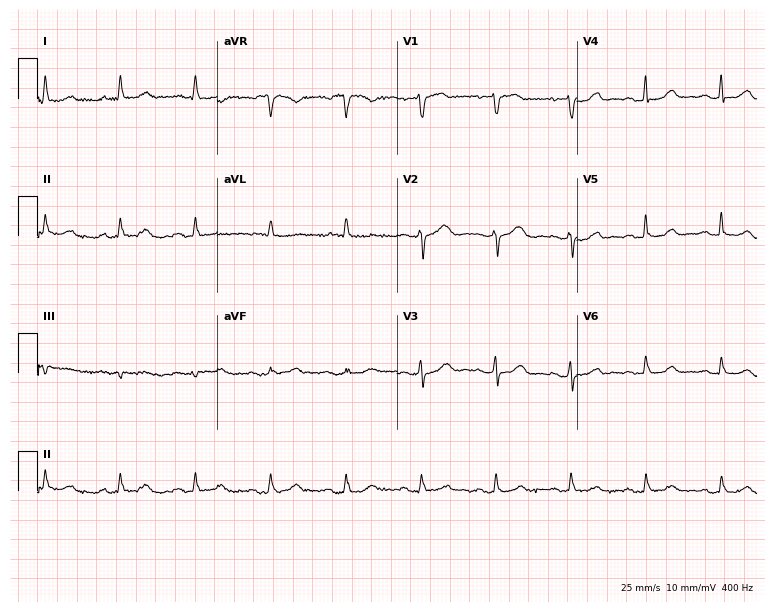
Electrocardiogram, a 69-year-old woman. Of the six screened findings (first-degree AV block, right bundle branch block (RBBB), left bundle branch block (LBBB), sinus bradycardia, atrial fibrillation (AF), sinus tachycardia), none is recorded.